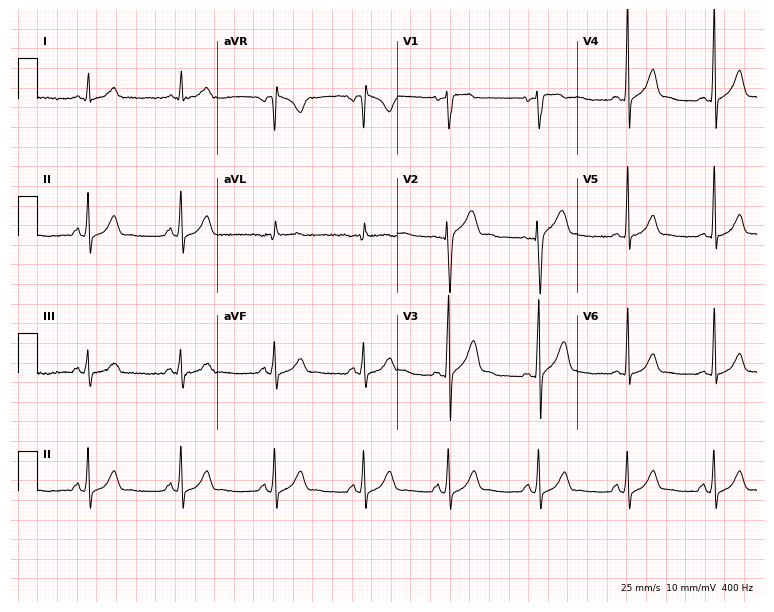
12-lead ECG from a man, 25 years old (7.3-second recording at 400 Hz). No first-degree AV block, right bundle branch block (RBBB), left bundle branch block (LBBB), sinus bradycardia, atrial fibrillation (AF) or sinus tachycardia recorded for this tracing.